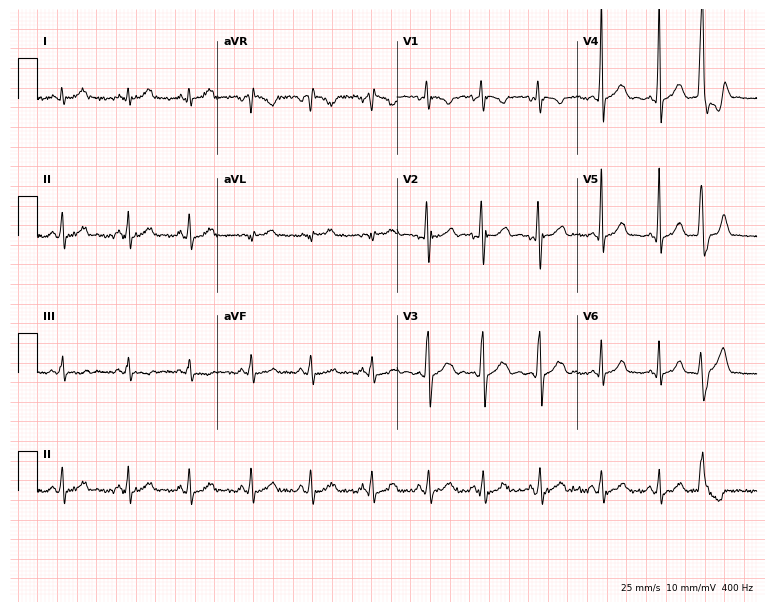
ECG — a 19-year-old female patient. Screened for six findings — first-degree AV block, right bundle branch block (RBBB), left bundle branch block (LBBB), sinus bradycardia, atrial fibrillation (AF), sinus tachycardia — none is recorded.